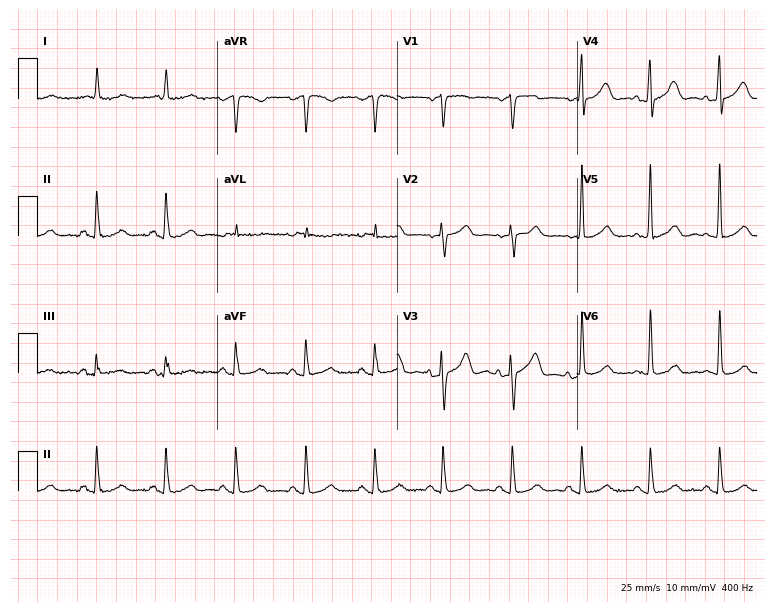
Electrocardiogram (7.3-second recording at 400 Hz), an 81-year-old female patient. Of the six screened findings (first-degree AV block, right bundle branch block, left bundle branch block, sinus bradycardia, atrial fibrillation, sinus tachycardia), none is recorded. Other findings, if any, are not listed.